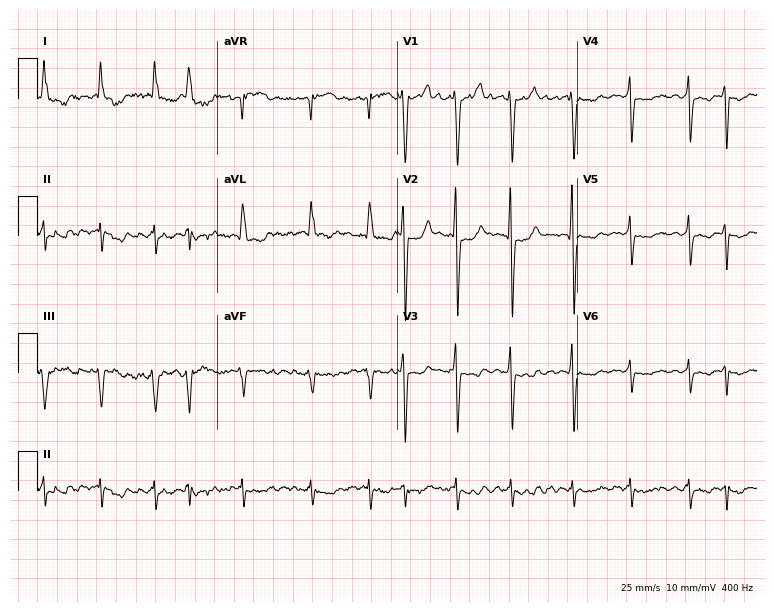
12-lead ECG from a female, 83 years old. Findings include atrial fibrillation (AF).